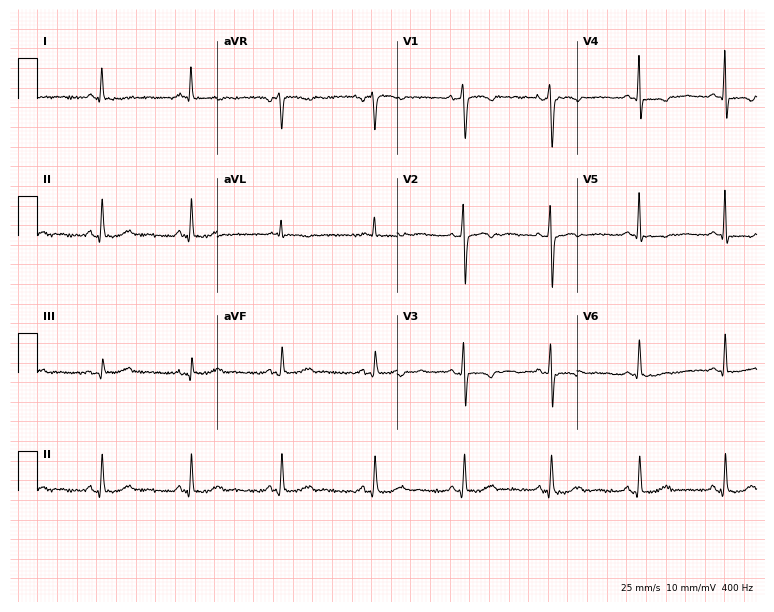
Standard 12-lead ECG recorded from a 42-year-old woman. None of these six findings is recorded: first-degree AV block, right bundle branch block, left bundle branch block, sinus bradycardia, atrial fibrillation, sinus tachycardia.